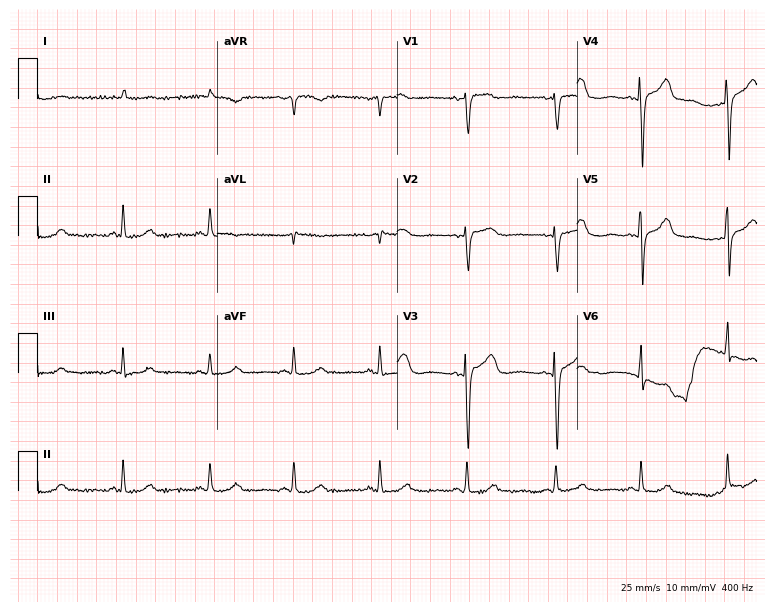
Electrocardiogram, a 78-year-old woman. Of the six screened findings (first-degree AV block, right bundle branch block (RBBB), left bundle branch block (LBBB), sinus bradycardia, atrial fibrillation (AF), sinus tachycardia), none is recorded.